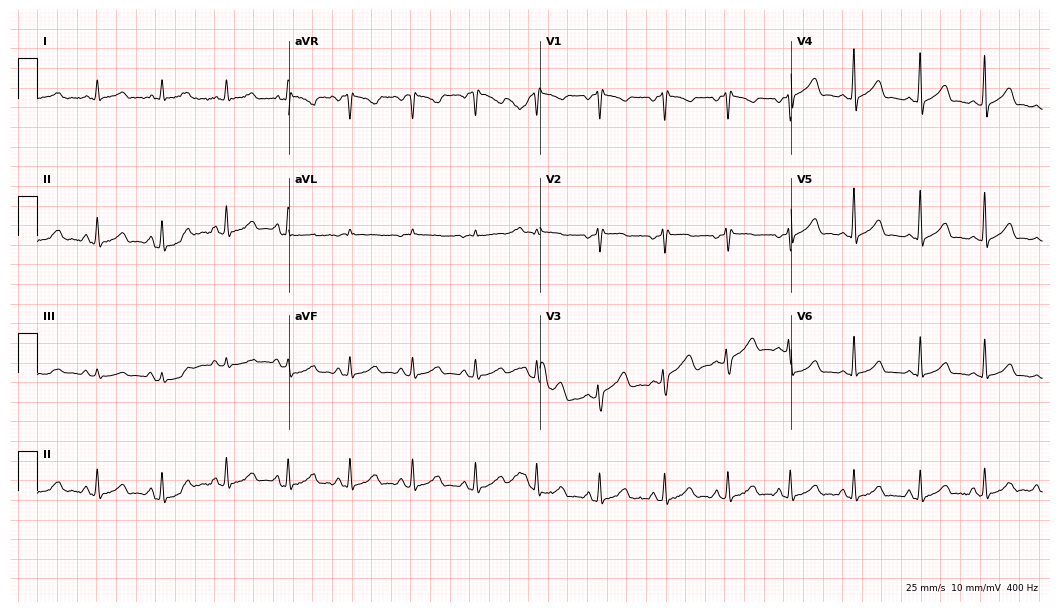
ECG — a female, 35 years old. Screened for six findings — first-degree AV block, right bundle branch block, left bundle branch block, sinus bradycardia, atrial fibrillation, sinus tachycardia — none is recorded.